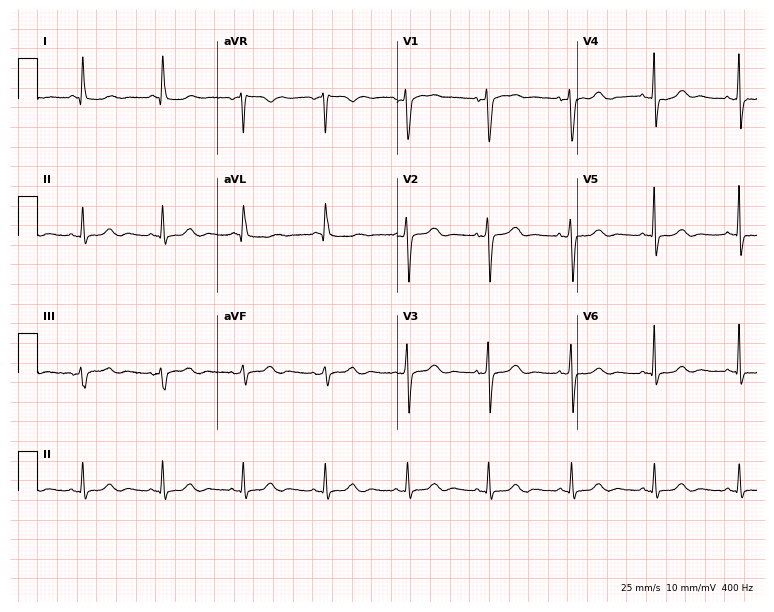
Electrocardiogram (7.3-second recording at 400 Hz), a 66-year-old woman. Overall reading on record: normal ECG.